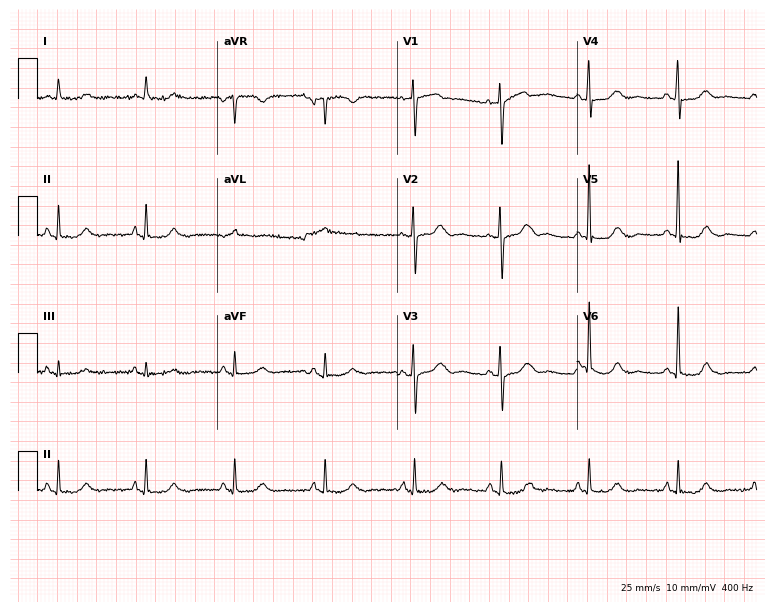
12-lead ECG (7.3-second recording at 400 Hz) from a 74-year-old female patient. Labelled as a normal ECG.